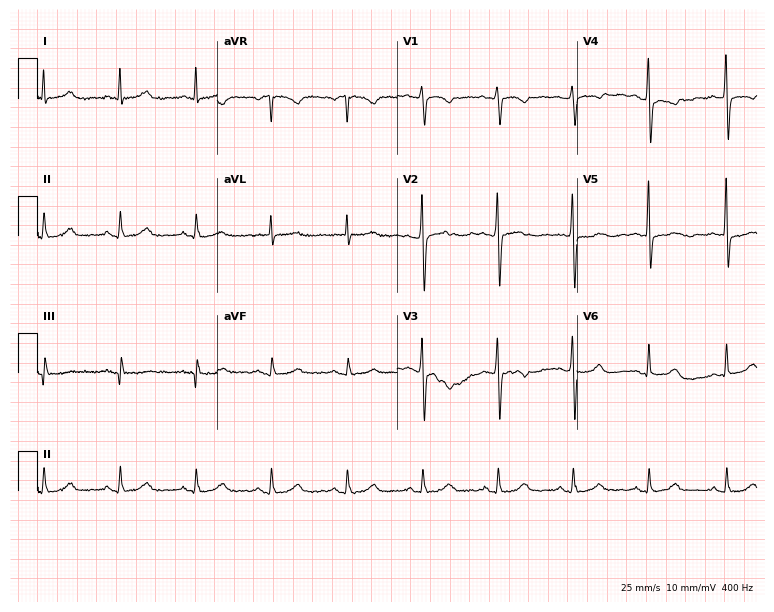
12-lead ECG from a woman, 63 years old. No first-degree AV block, right bundle branch block (RBBB), left bundle branch block (LBBB), sinus bradycardia, atrial fibrillation (AF) or sinus tachycardia recorded for this tracing. Only these six findings were labelled.